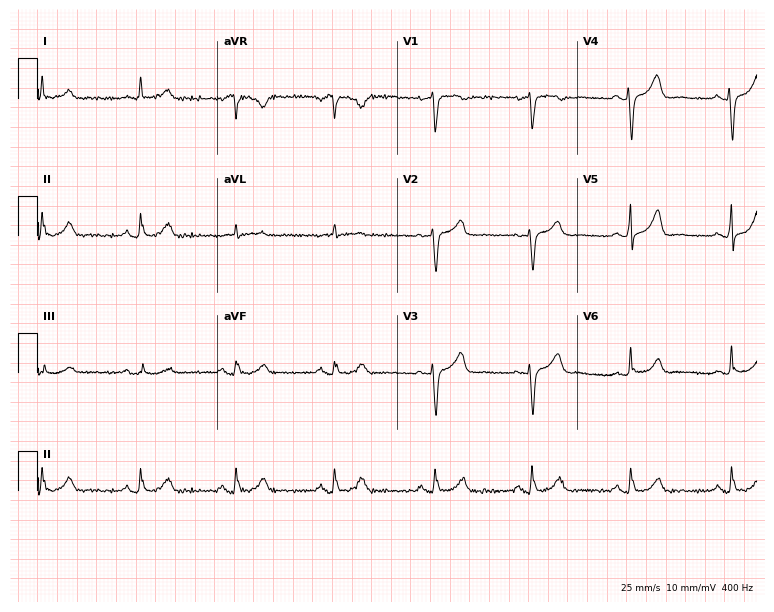
12-lead ECG from a female, 63 years old. Labelled as a normal ECG.